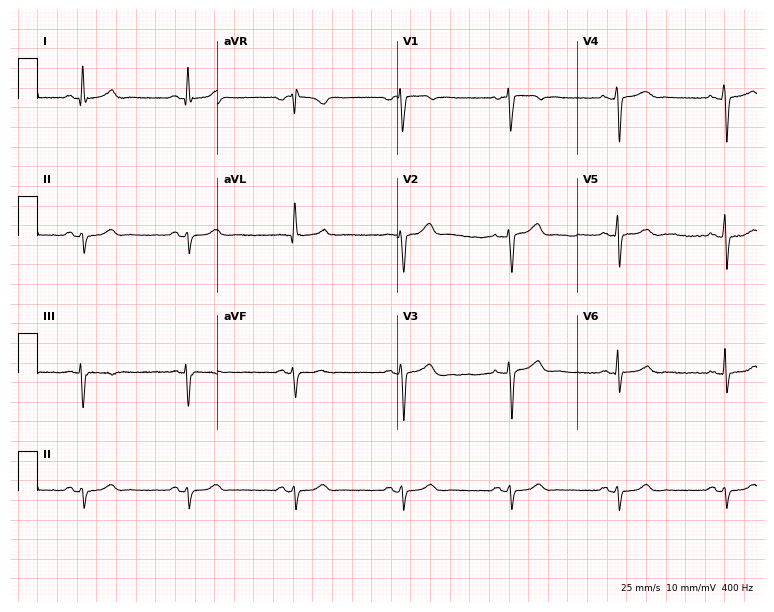
ECG — a 51-year-old female. Screened for six findings — first-degree AV block, right bundle branch block (RBBB), left bundle branch block (LBBB), sinus bradycardia, atrial fibrillation (AF), sinus tachycardia — none is recorded. Findings outside these six are not listed.